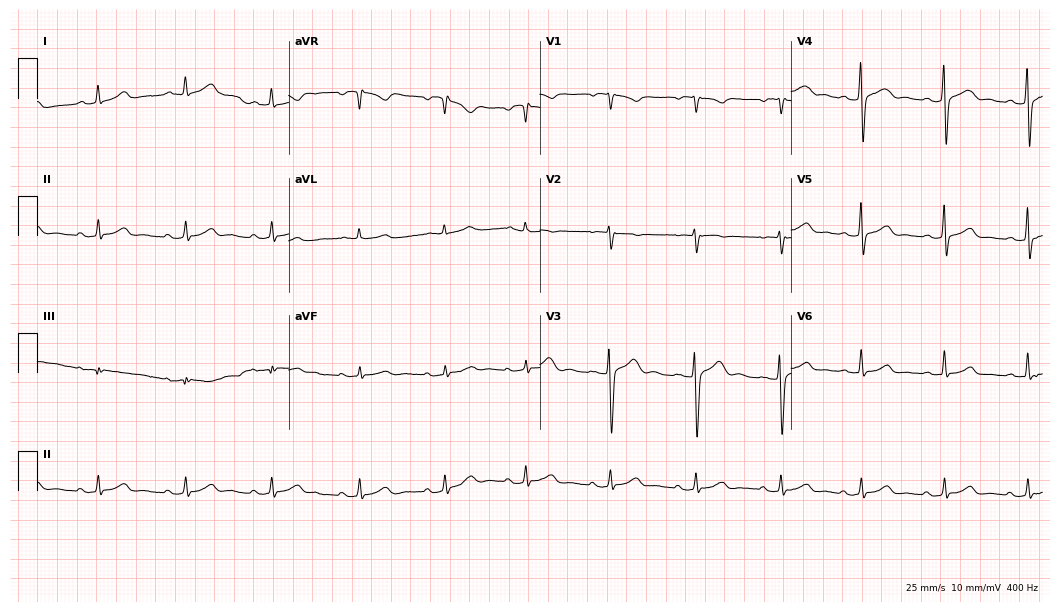
Resting 12-lead electrocardiogram. Patient: a 25-year-old female. Read as a normal ECG.